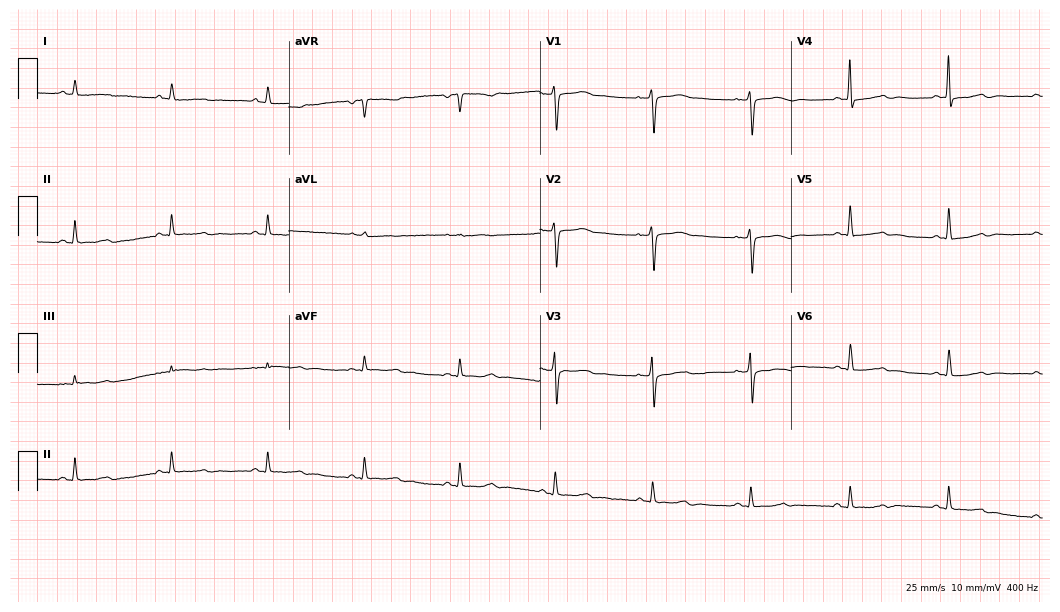
Resting 12-lead electrocardiogram (10.2-second recording at 400 Hz). Patient: a woman, 58 years old. None of these six findings is recorded: first-degree AV block, right bundle branch block, left bundle branch block, sinus bradycardia, atrial fibrillation, sinus tachycardia. Only these six findings were labelled.